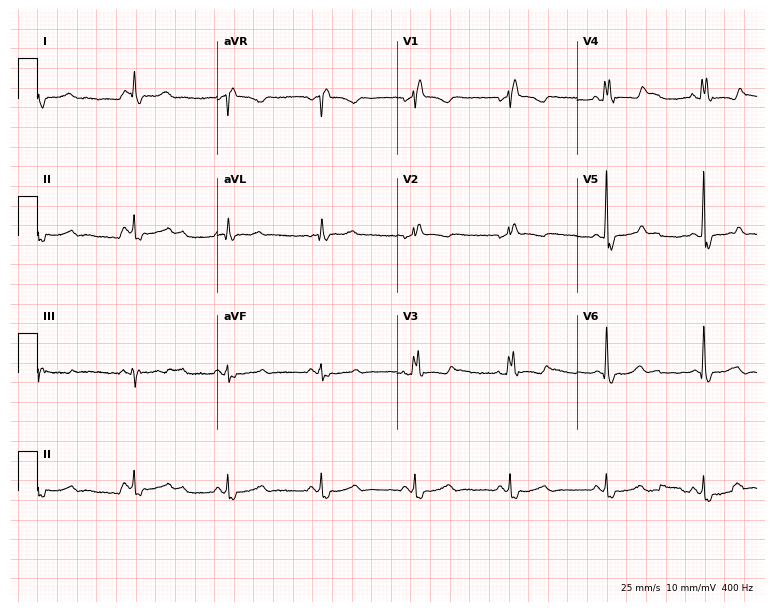
Electrocardiogram, a 66-year-old male. Interpretation includes right bundle branch block.